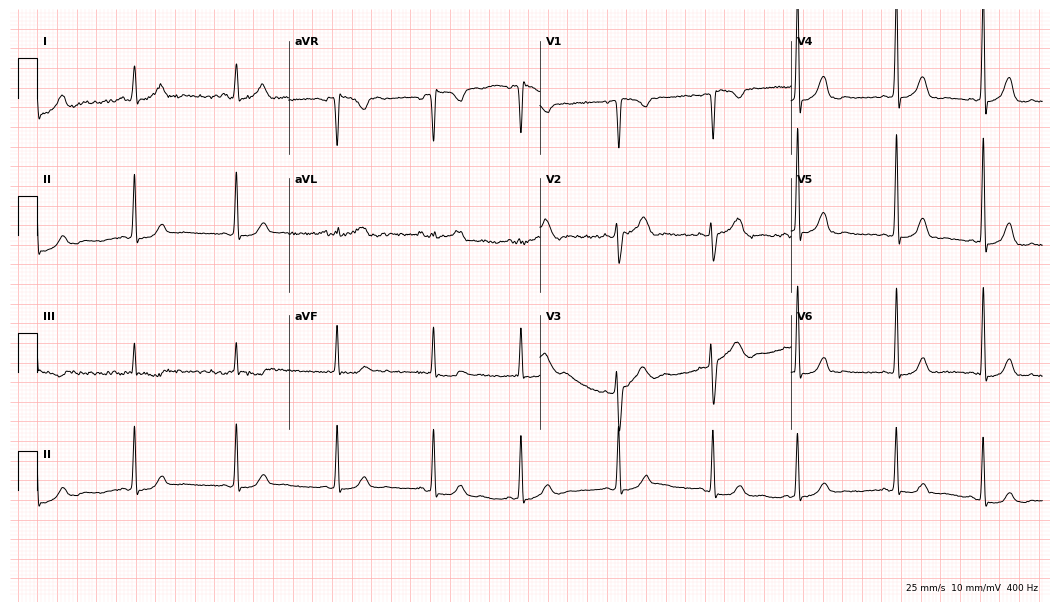
ECG — a 23-year-old female patient. Screened for six findings — first-degree AV block, right bundle branch block, left bundle branch block, sinus bradycardia, atrial fibrillation, sinus tachycardia — none is recorded. Findings outside these six are not listed.